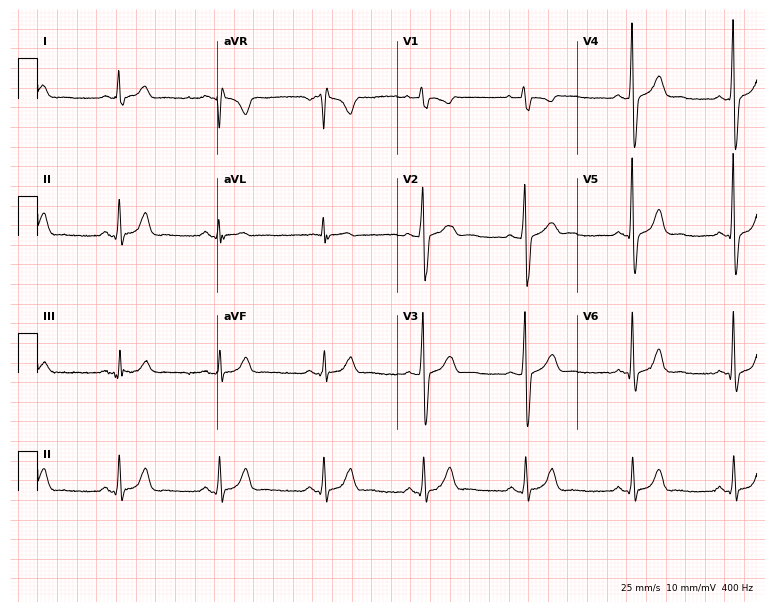
Resting 12-lead electrocardiogram. Patient: a male, 43 years old. Read as a normal ECG.